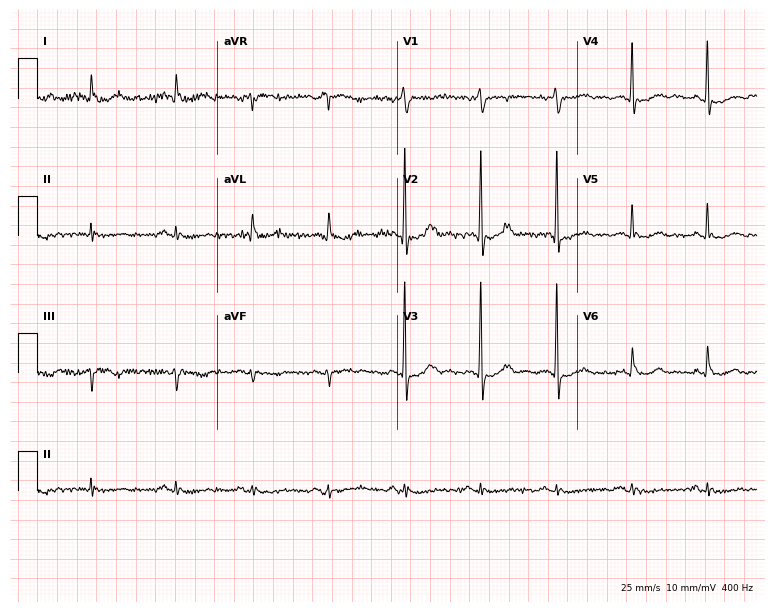
ECG (7.3-second recording at 400 Hz) — an 84-year-old woman. Screened for six findings — first-degree AV block, right bundle branch block, left bundle branch block, sinus bradycardia, atrial fibrillation, sinus tachycardia — none is recorded.